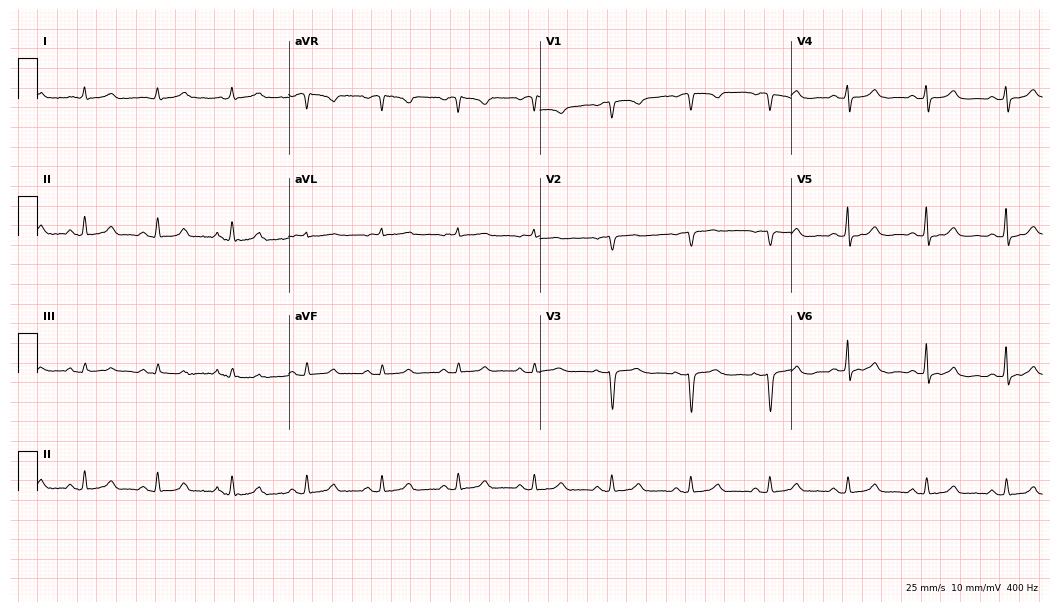
12-lead ECG from a 63-year-old woman. Screened for six findings — first-degree AV block, right bundle branch block, left bundle branch block, sinus bradycardia, atrial fibrillation, sinus tachycardia — none is recorded. Only these six findings were labelled.